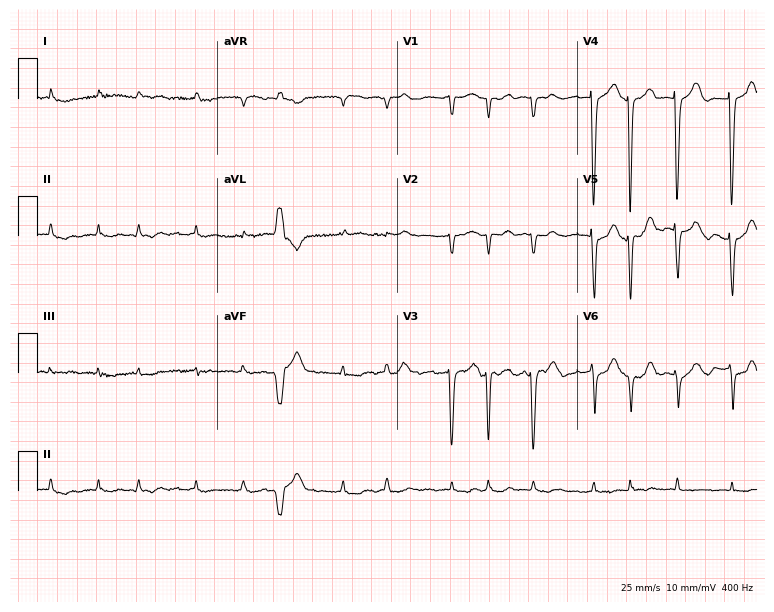
Standard 12-lead ECG recorded from a female patient, 72 years old (7.3-second recording at 400 Hz). None of these six findings is recorded: first-degree AV block, right bundle branch block, left bundle branch block, sinus bradycardia, atrial fibrillation, sinus tachycardia. Other findings, if any, are not listed.